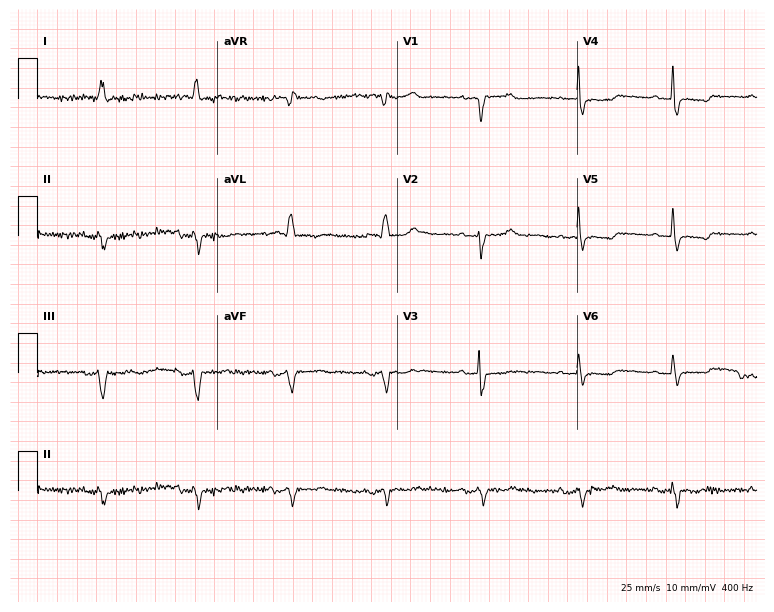
Electrocardiogram (7.3-second recording at 400 Hz), an 83-year-old female. Of the six screened findings (first-degree AV block, right bundle branch block, left bundle branch block, sinus bradycardia, atrial fibrillation, sinus tachycardia), none is recorded. Other findings, if any, are not listed.